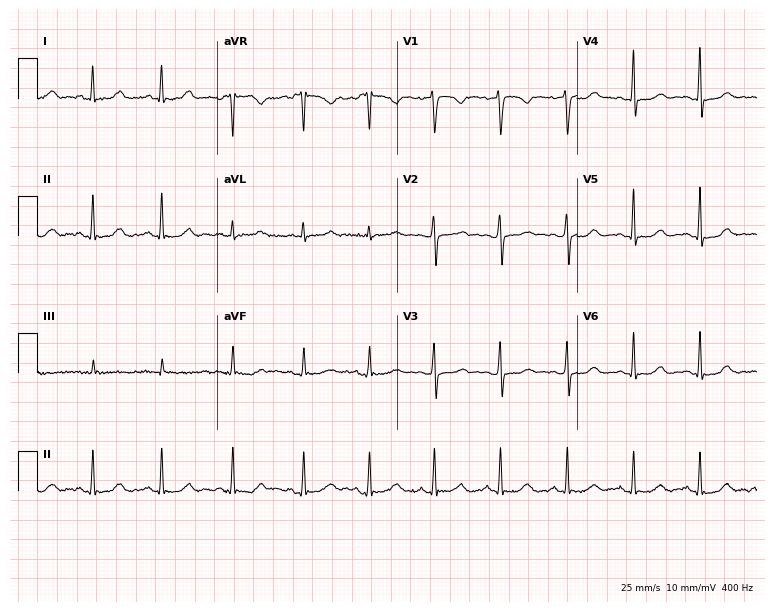
12-lead ECG from a female patient, 36 years old (7.3-second recording at 400 Hz). Recorded interpretation: within normal limits.